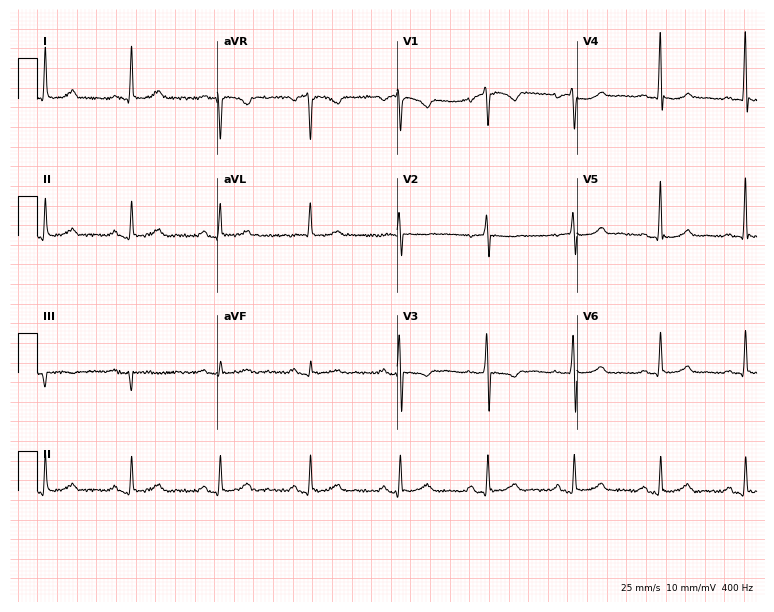
Standard 12-lead ECG recorded from a female patient, 62 years old. Read as a normal ECG.